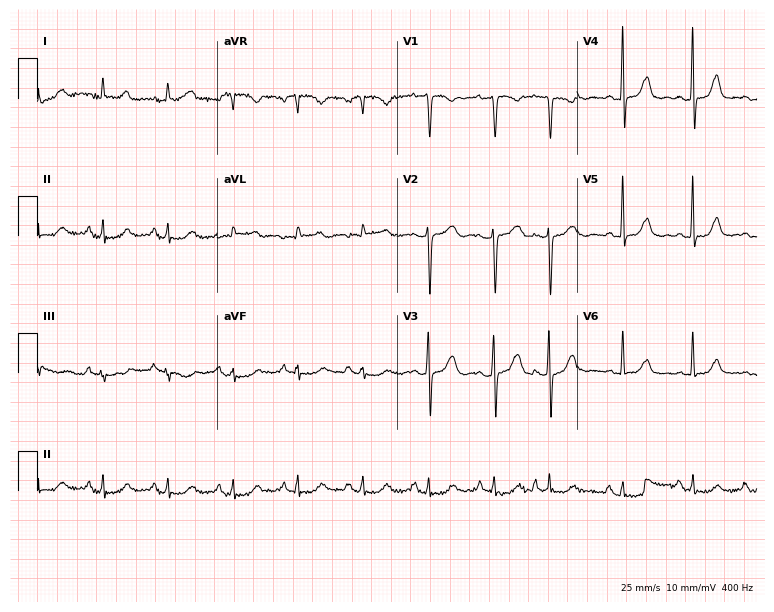
12-lead ECG (7.3-second recording at 400 Hz) from a 64-year-old female. Screened for six findings — first-degree AV block, right bundle branch block, left bundle branch block, sinus bradycardia, atrial fibrillation, sinus tachycardia — none is recorded. Only these six findings were labelled.